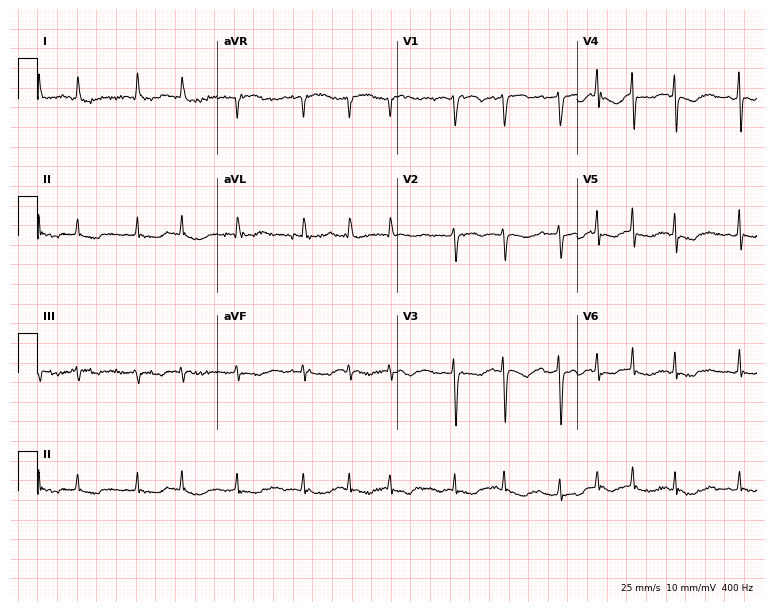
ECG — a female patient, 84 years old. Findings include atrial fibrillation (AF).